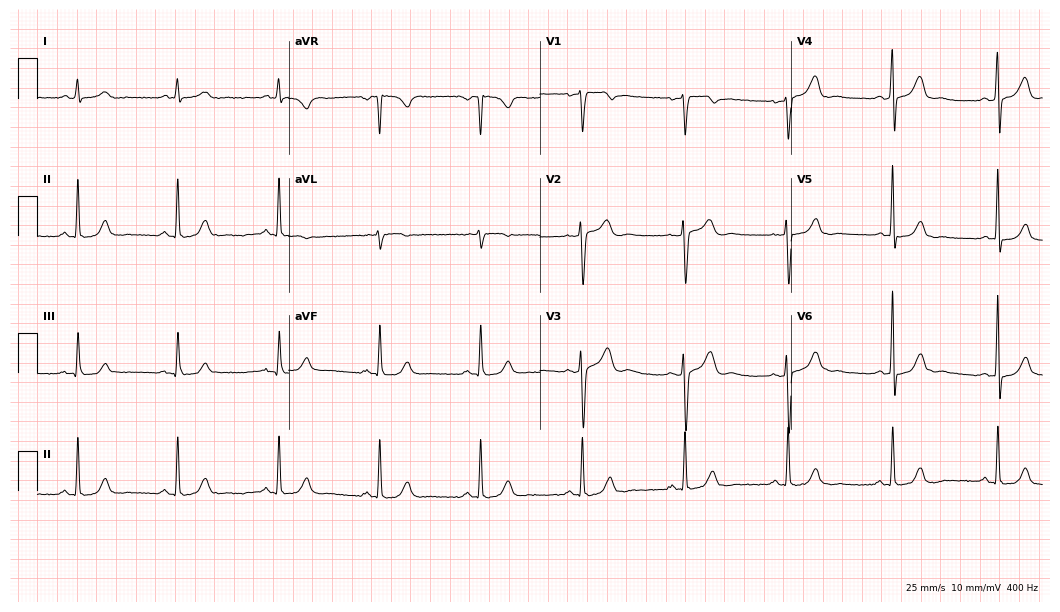
Electrocardiogram, a 42-year-old female patient. Of the six screened findings (first-degree AV block, right bundle branch block, left bundle branch block, sinus bradycardia, atrial fibrillation, sinus tachycardia), none is recorded. Findings outside these six are not listed.